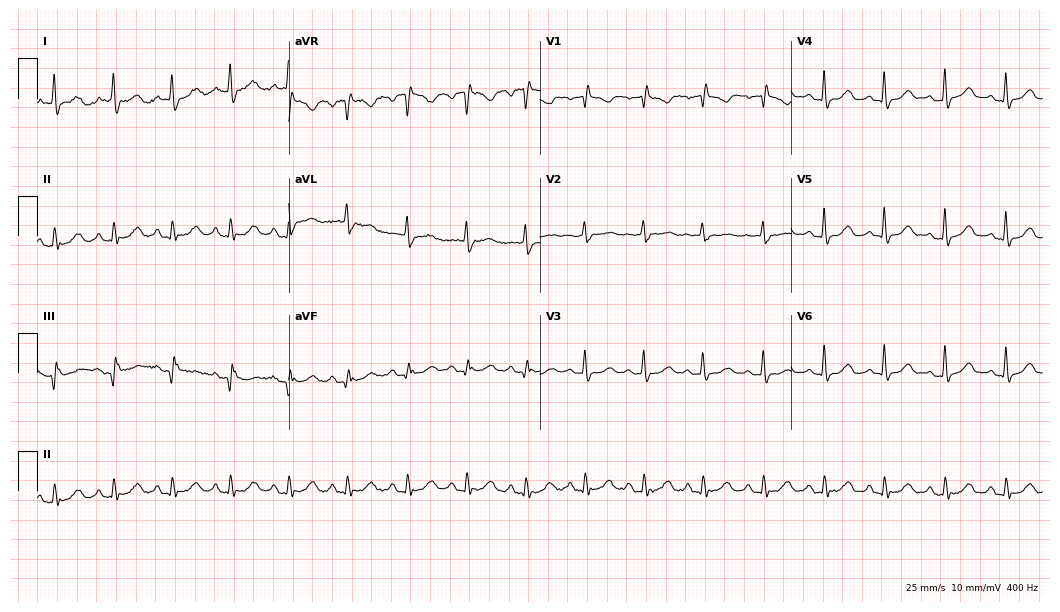
12-lead ECG from a female, 65 years old (10.2-second recording at 400 Hz). Recorded interpretation: within normal limits.